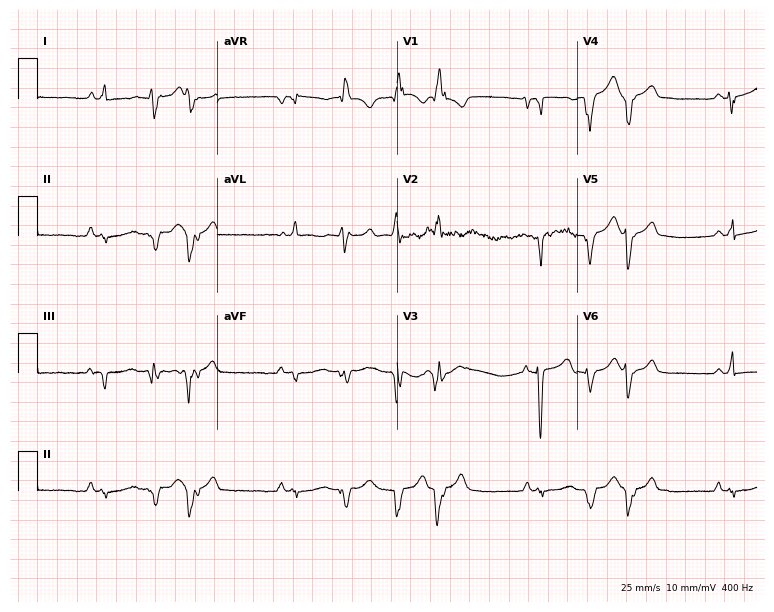
ECG — a 40-year-old female. Screened for six findings — first-degree AV block, right bundle branch block, left bundle branch block, sinus bradycardia, atrial fibrillation, sinus tachycardia — none is recorded.